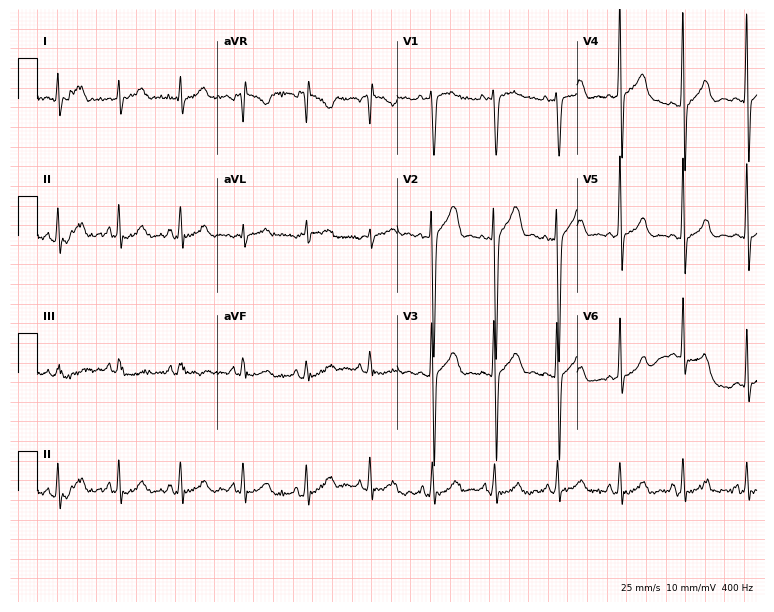
12-lead ECG (7.3-second recording at 400 Hz) from a 42-year-old male. Screened for six findings — first-degree AV block, right bundle branch block, left bundle branch block, sinus bradycardia, atrial fibrillation, sinus tachycardia — none is recorded.